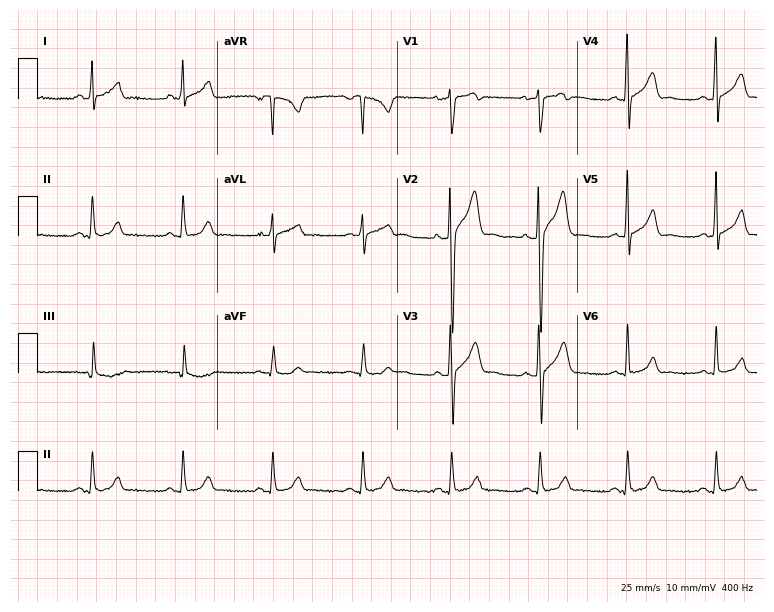
Standard 12-lead ECG recorded from a 43-year-old man (7.3-second recording at 400 Hz). Read as a normal ECG.